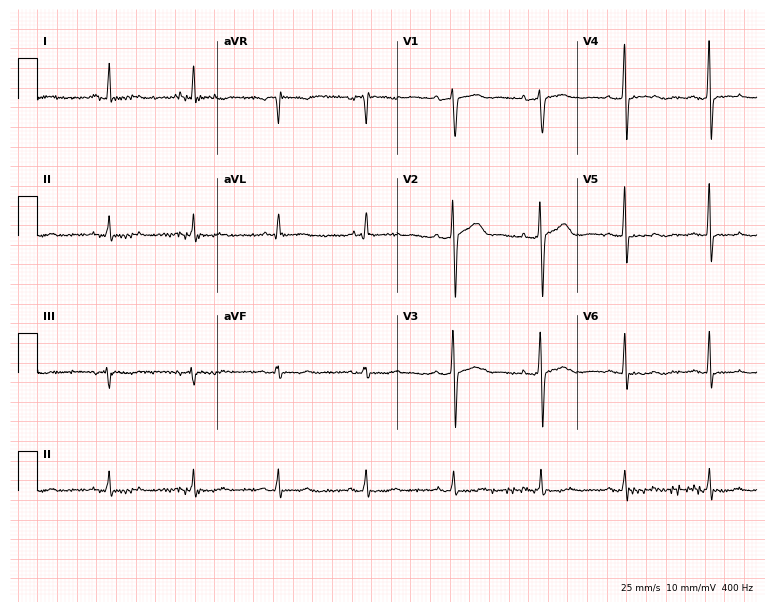
Electrocardiogram, a 56-year-old female patient. Of the six screened findings (first-degree AV block, right bundle branch block, left bundle branch block, sinus bradycardia, atrial fibrillation, sinus tachycardia), none is recorded. Other findings, if any, are not listed.